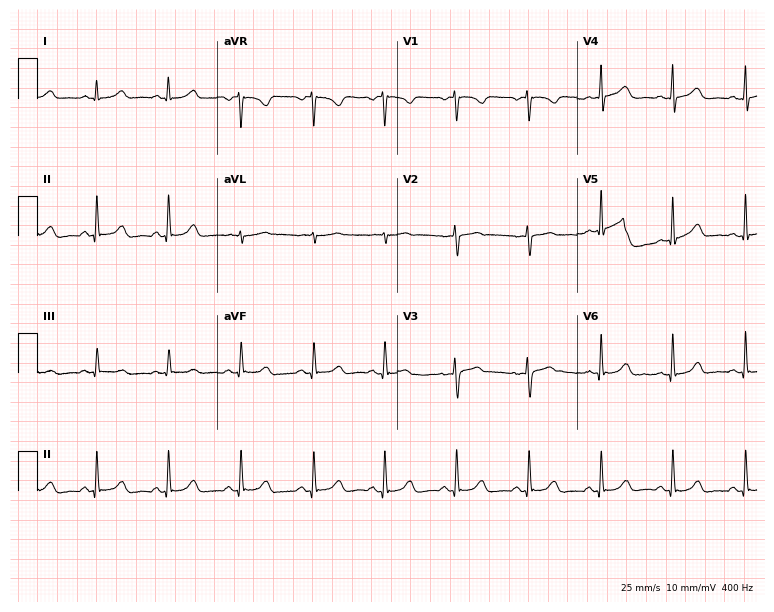
Standard 12-lead ECG recorded from a 57-year-old female. Read as a normal ECG.